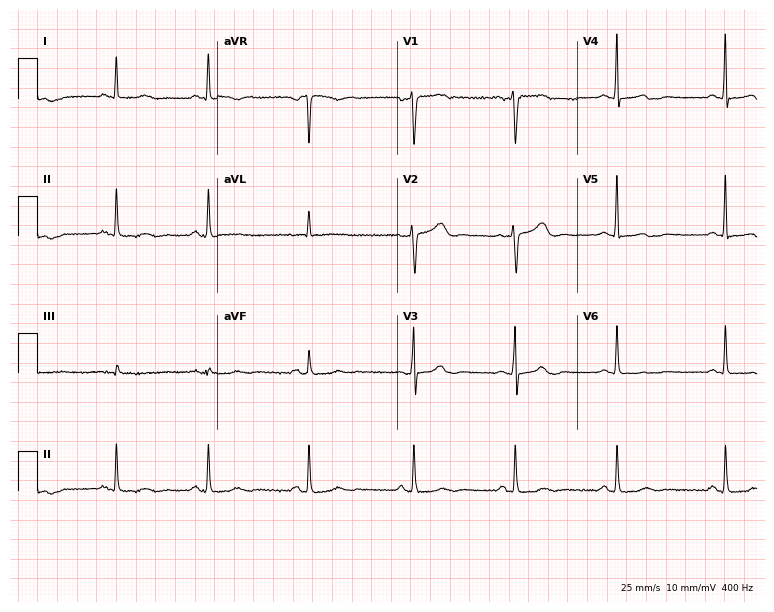
12-lead ECG from a 53-year-old female patient. Labelled as a normal ECG.